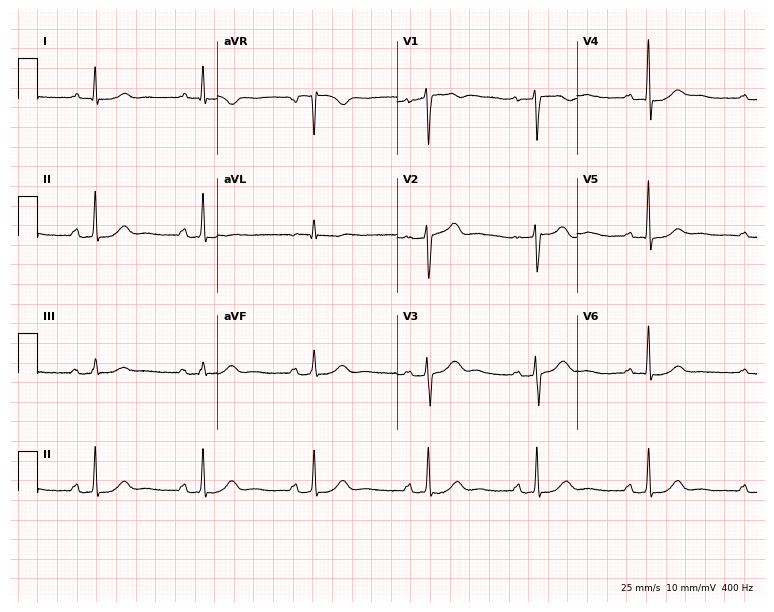
Standard 12-lead ECG recorded from a female patient, 45 years old (7.3-second recording at 400 Hz). Read as a normal ECG.